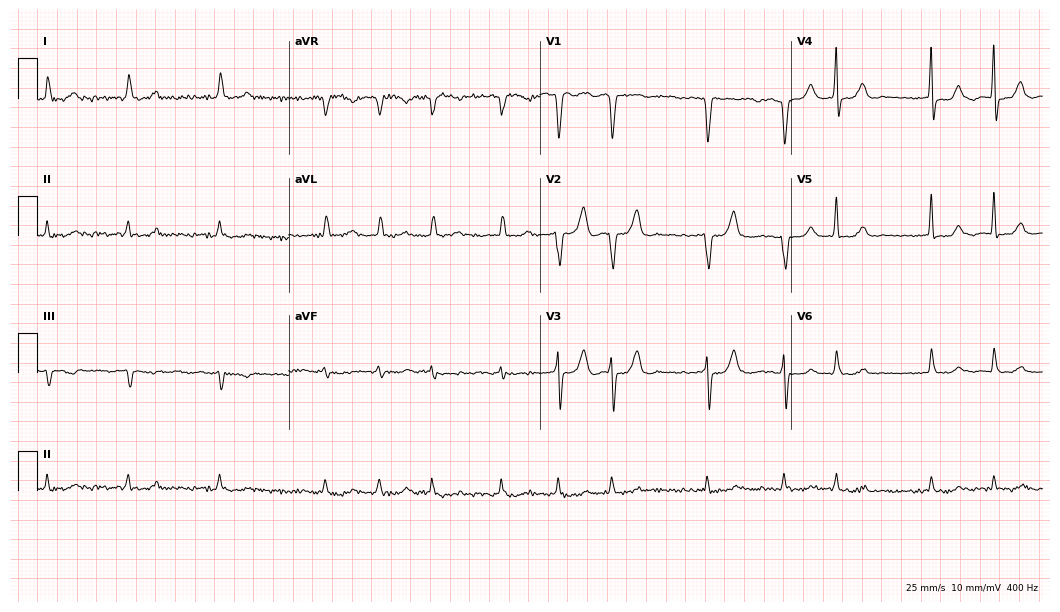
12-lead ECG from a female, 77 years old. Findings include first-degree AV block, atrial fibrillation (AF).